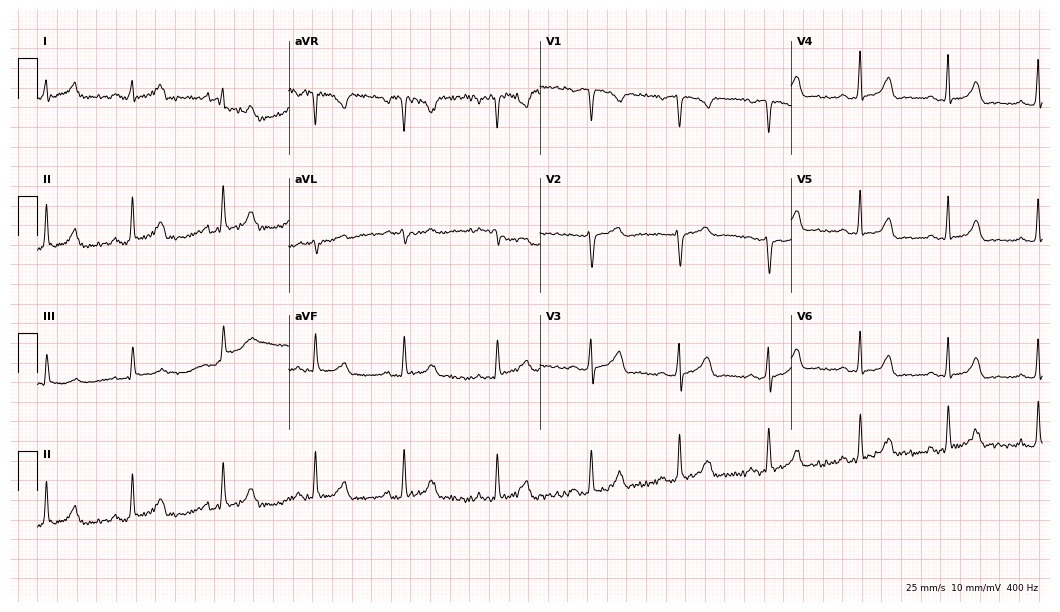
ECG (10.2-second recording at 400 Hz) — a 32-year-old woman. Screened for six findings — first-degree AV block, right bundle branch block, left bundle branch block, sinus bradycardia, atrial fibrillation, sinus tachycardia — none is recorded.